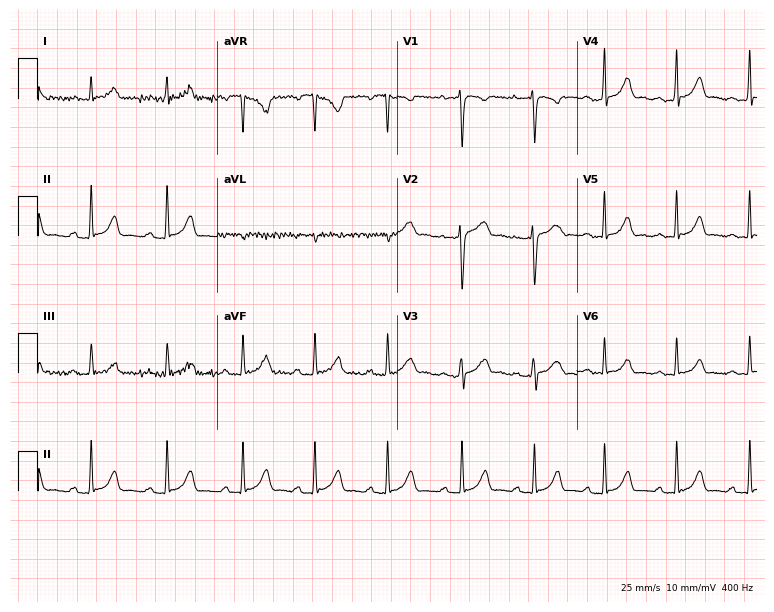
Resting 12-lead electrocardiogram (7.3-second recording at 400 Hz). Patient: a 21-year-old female. None of these six findings is recorded: first-degree AV block, right bundle branch block (RBBB), left bundle branch block (LBBB), sinus bradycardia, atrial fibrillation (AF), sinus tachycardia.